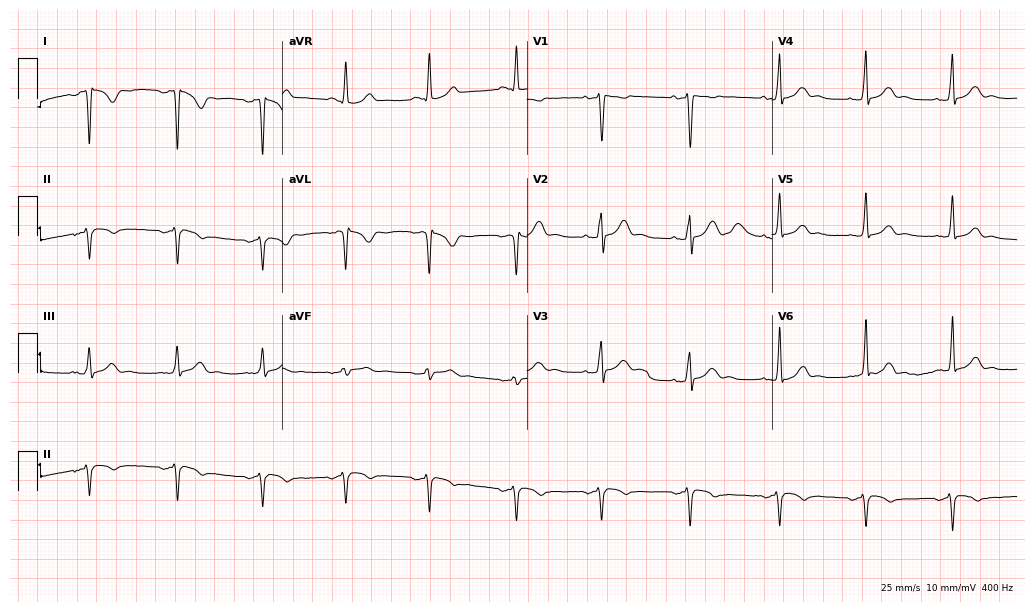
12-lead ECG from a 22-year-old male patient. No first-degree AV block, right bundle branch block, left bundle branch block, sinus bradycardia, atrial fibrillation or sinus tachycardia recorded for this tracing.